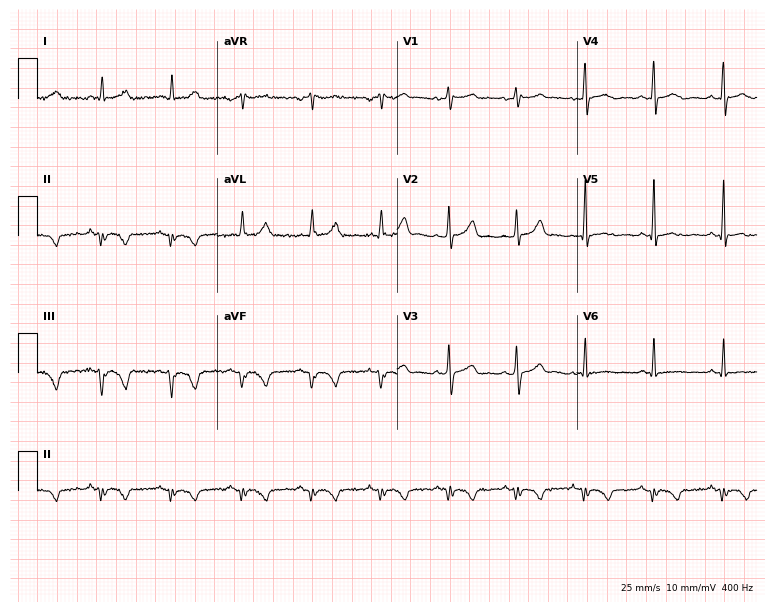
Standard 12-lead ECG recorded from a 63-year-old male (7.3-second recording at 400 Hz). None of these six findings is recorded: first-degree AV block, right bundle branch block, left bundle branch block, sinus bradycardia, atrial fibrillation, sinus tachycardia. Other findings, if any, are not listed.